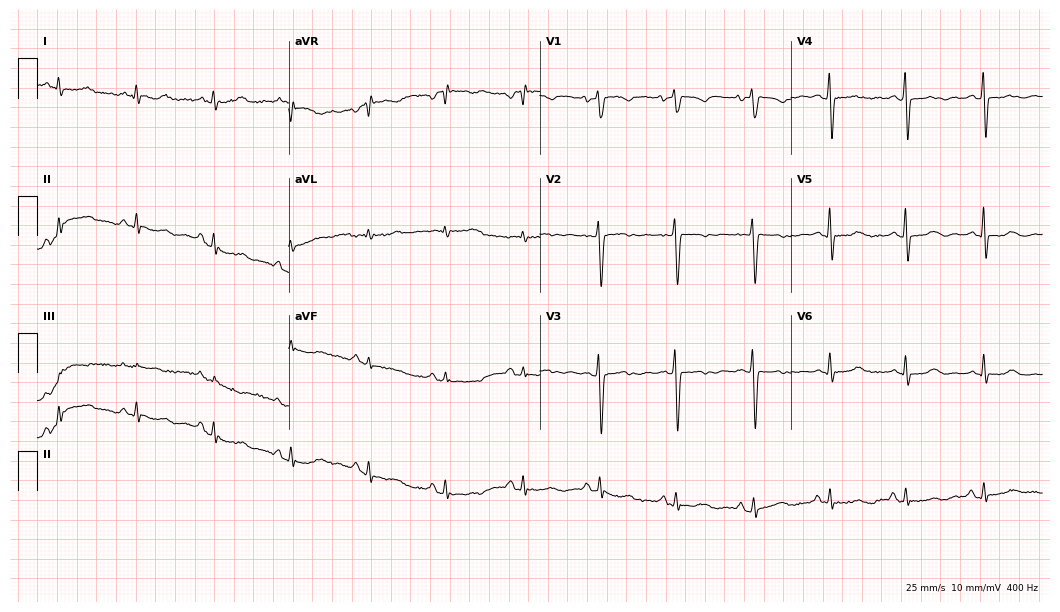
12-lead ECG from an 82-year-old male. Recorded interpretation: within normal limits.